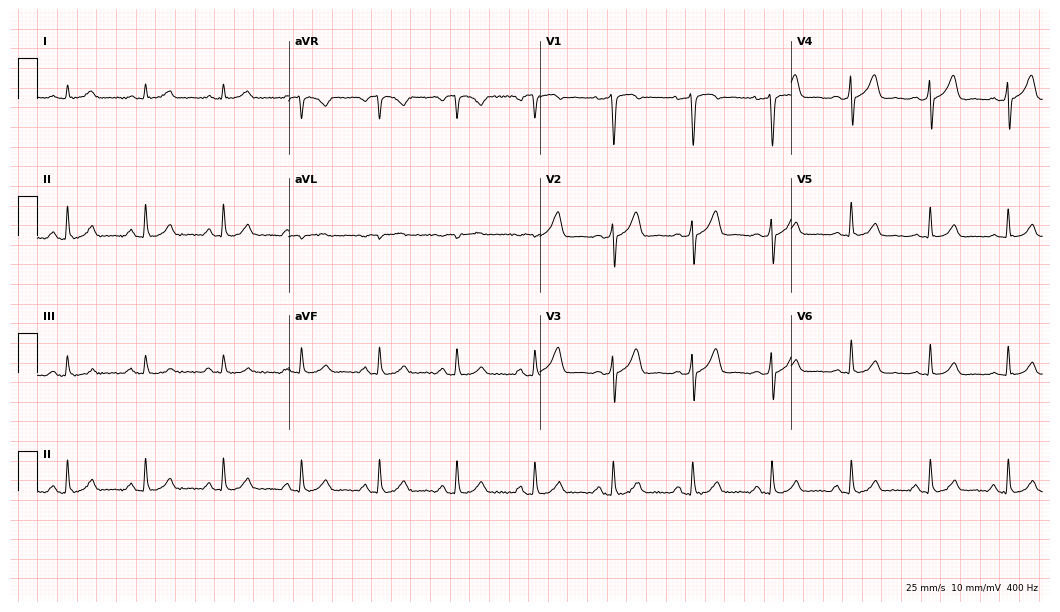
Resting 12-lead electrocardiogram. Patient: a male, 59 years old. Read as a normal ECG.